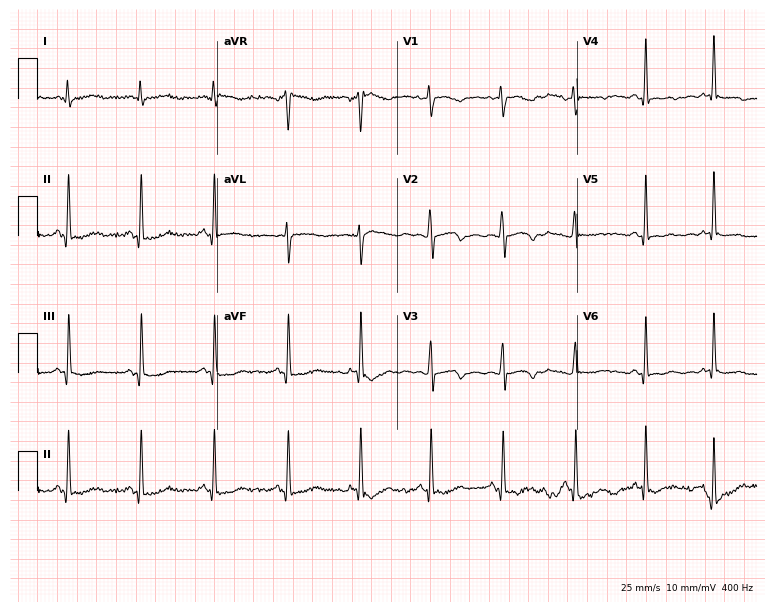
12-lead ECG from a woman, 30 years old. No first-degree AV block, right bundle branch block (RBBB), left bundle branch block (LBBB), sinus bradycardia, atrial fibrillation (AF) or sinus tachycardia recorded for this tracing. Findings outside these six are not listed.